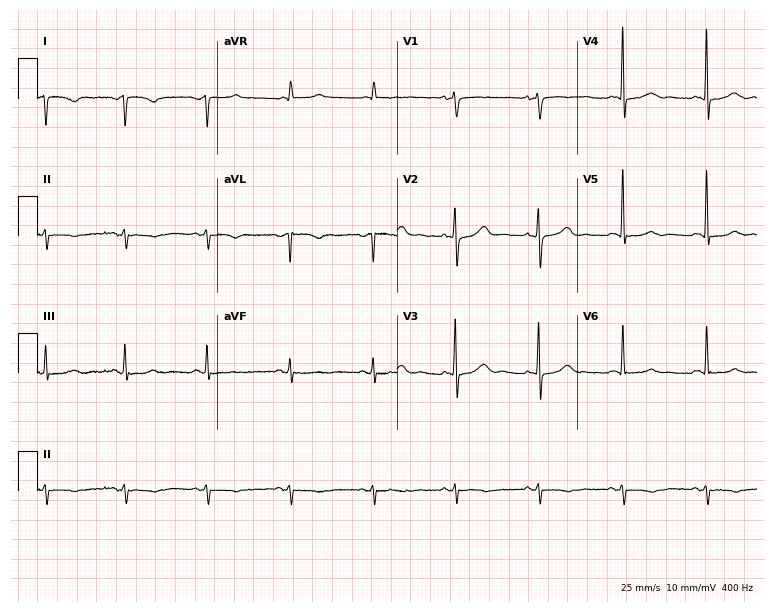
Standard 12-lead ECG recorded from a female, 73 years old (7.3-second recording at 400 Hz). None of these six findings is recorded: first-degree AV block, right bundle branch block (RBBB), left bundle branch block (LBBB), sinus bradycardia, atrial fibrillation (AF), sinus tachycardia. Other findings, if any, are not listed.